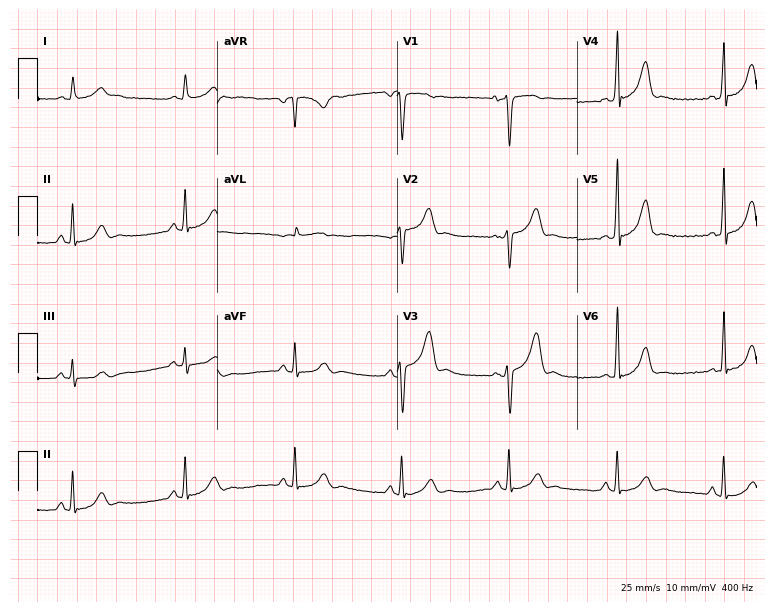
Standard 12-lead ECG recorded from a man, 48 years old (7.3-second recording at 400 Hz). None of these six findings is recorded: first-degree AV block, right bundle branch block, left bundle branch block, sinus bradycardia, atrial fibrillation, sinus tachycardia.